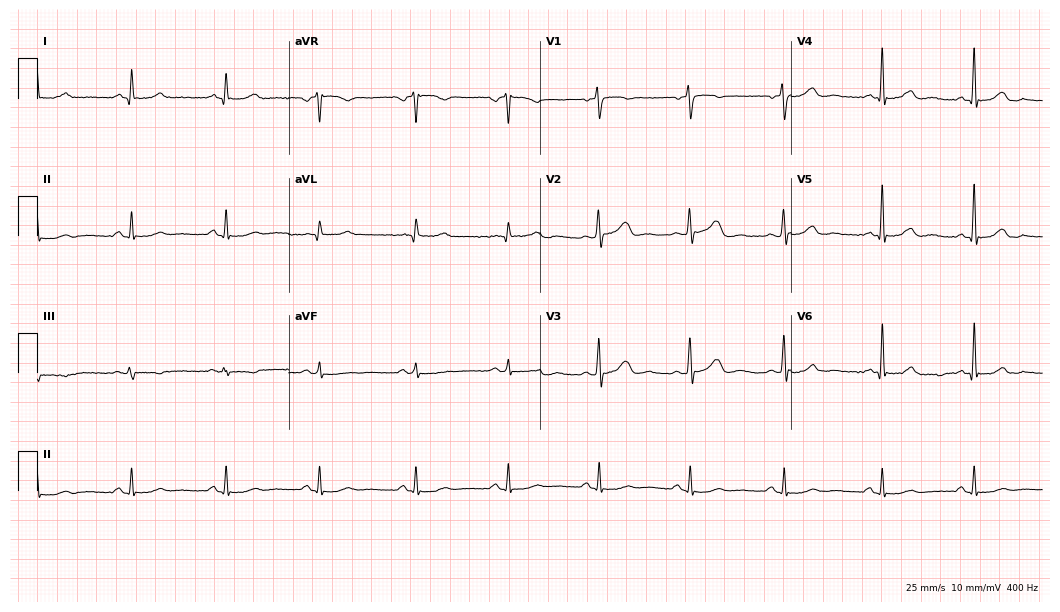
Resting 12-lead electrocardiogram. Patient: a man, 56 years old. Read as a normal ECG.